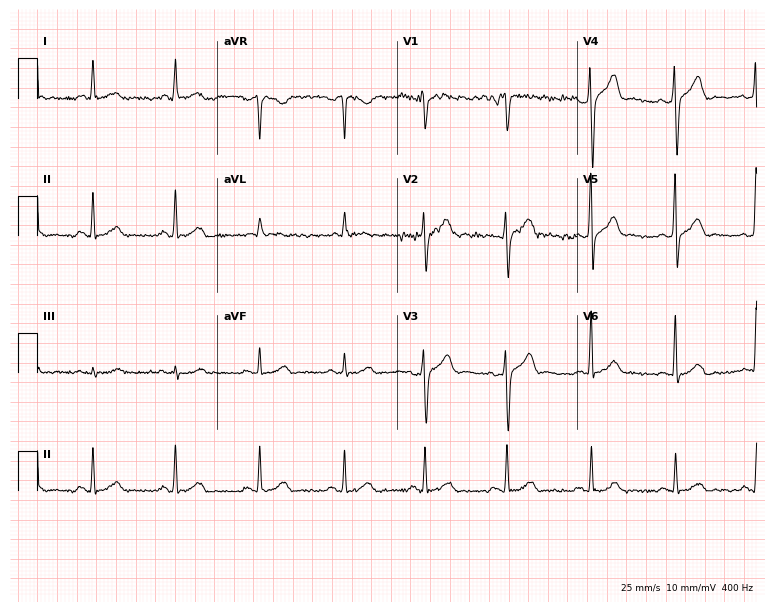
Resting 12-lead electrocardiogram (7.3-second recording at 400 Hz). Patient: a male, 45 years old. Read as a normal ECG.